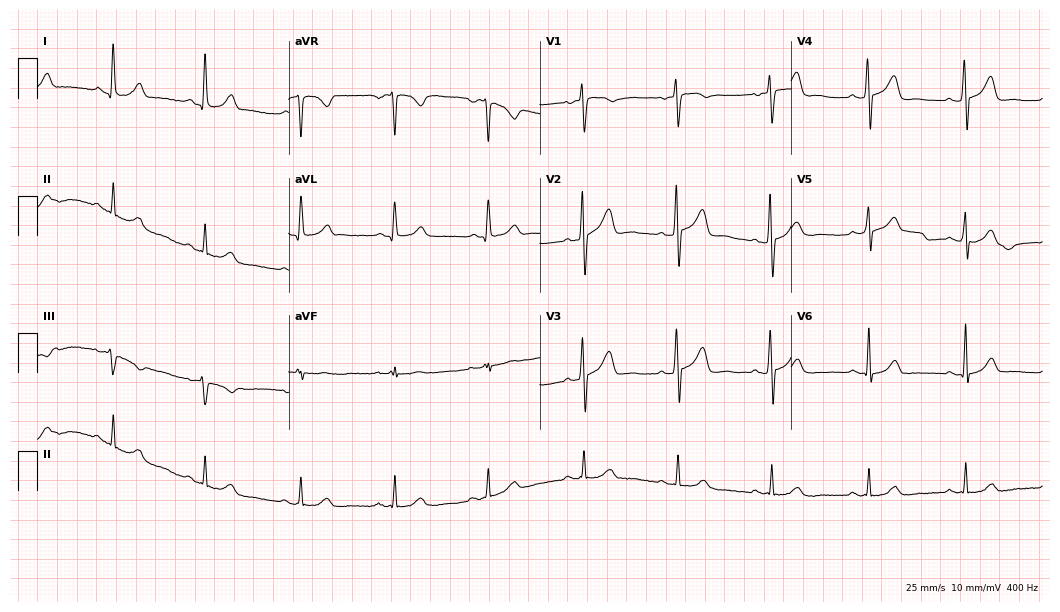
12-lead ECG (10.2-second recording at 400 Hz) from a man, 57 years old. Labelled as a normal ECG.